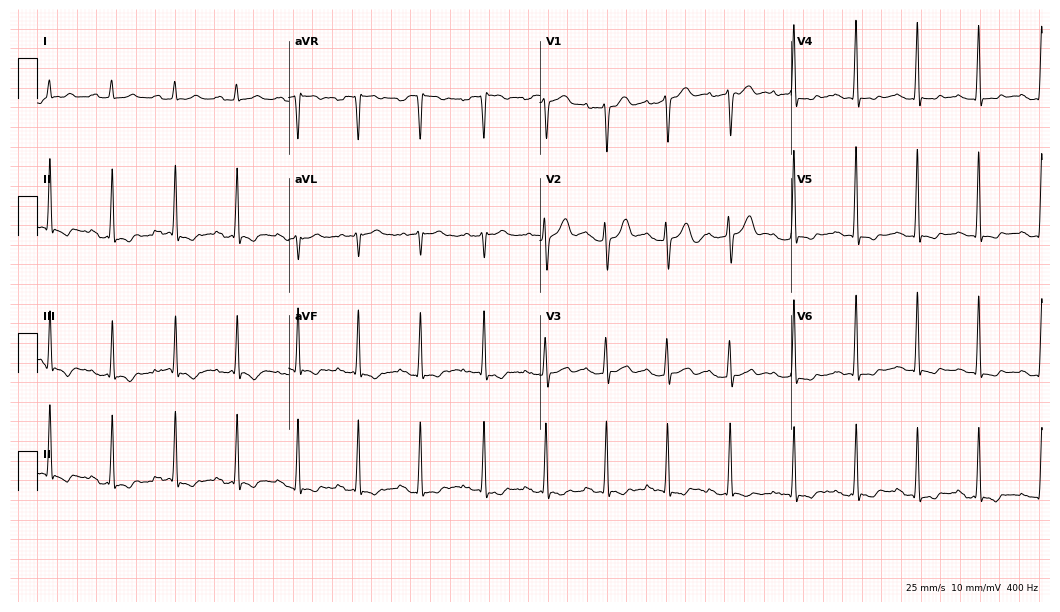
Resting 12-lead electrocardiogram. Patient: a 30-year-old female. None of these six findings is recorded: first-degree AV block, right bundle branch block, left bundle branch block, sinus bradycardia, atrial fibrillation, sinus tachycardia.